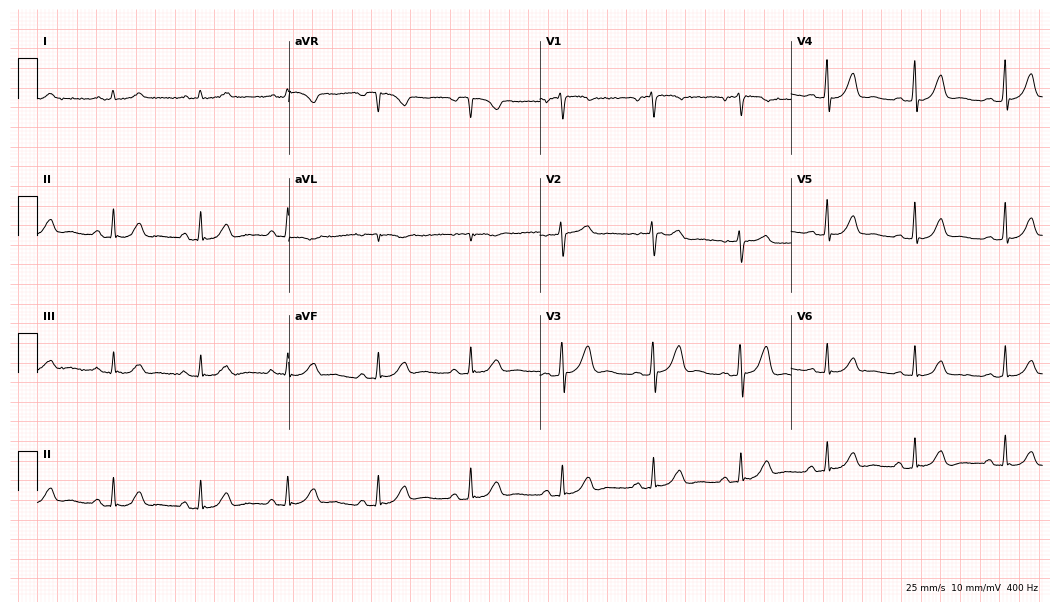
Electrocardiogram (10.2-second recording at 400 Hz), a female, 53 years old. Overall reading on record: normal ECG.